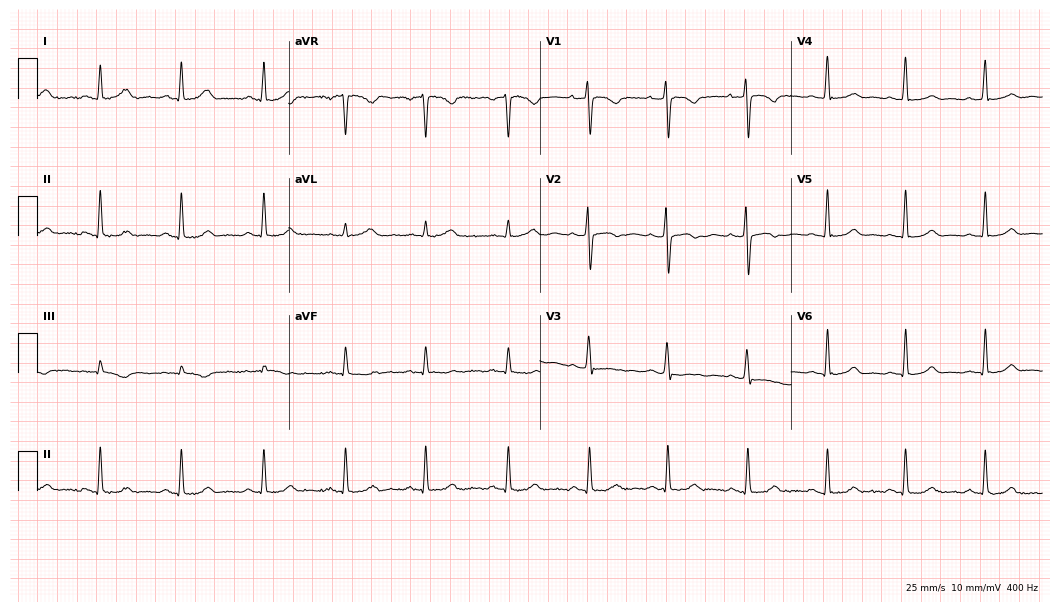
Electrocardiogram (10.2-second recording at 400 Hz), a 27-year-old woman. Of the six screened findings (first-degree AV block, right bundle branch block (RBBB), left bundle branch block (LBBB), sinus bradycardia, atrial fibrillation (AF), sinus tachycardia), none is recorded.